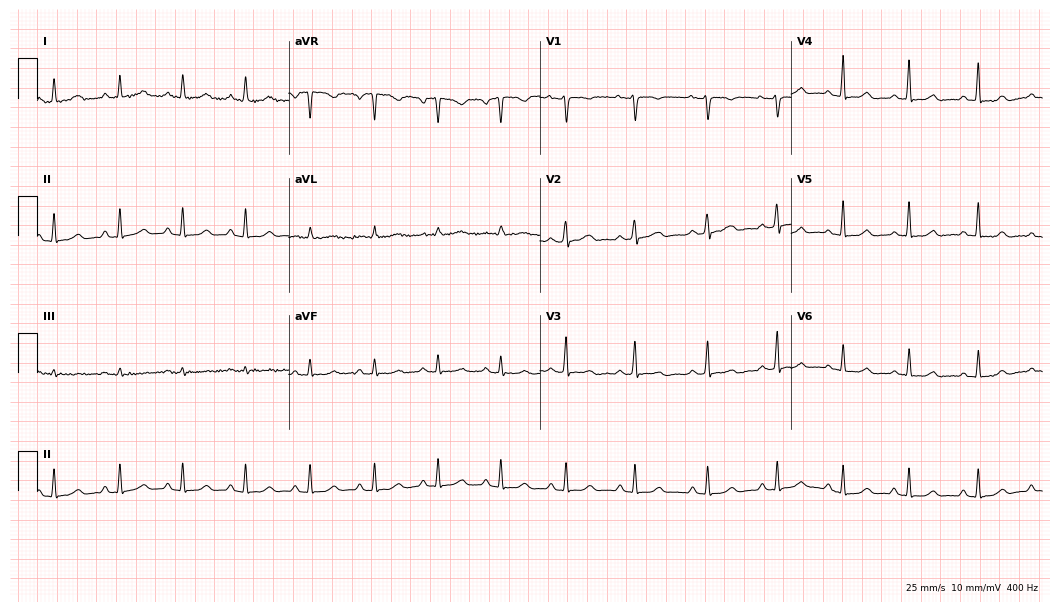
Electrocardiogram, a female, 33 years old. Of the six screened findings (first-degree AV block, right bundle branch block, left bundle branch block, sinus bradycardia, atrial fibrillation, sinus tachycardia), none is recorded.